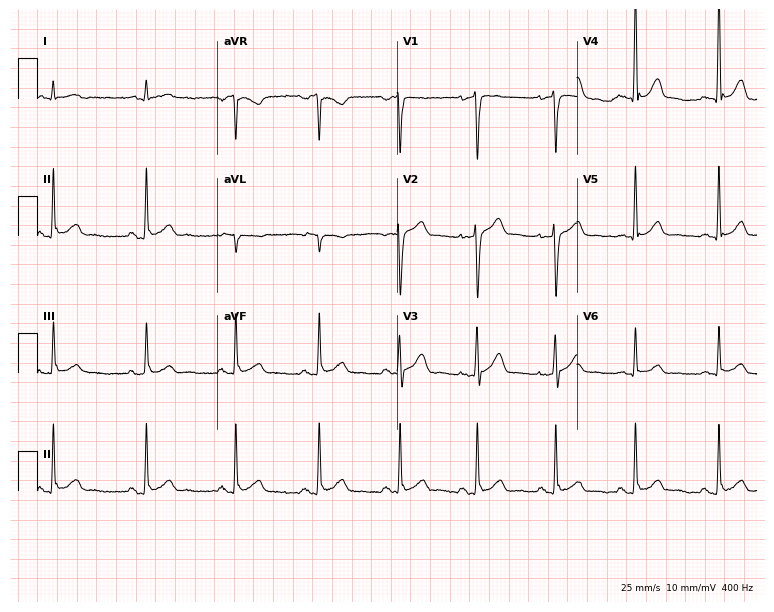
12-lead ECG from a 40-year-old man (7.3-second recording at 400 Hz). No first-degree AV block, right bundle branch block, left bundle branch block, sinus bradycardia, atrial fibrillation or sinus tachycardia recorded for this tracing. Findings outside these six are not listed.